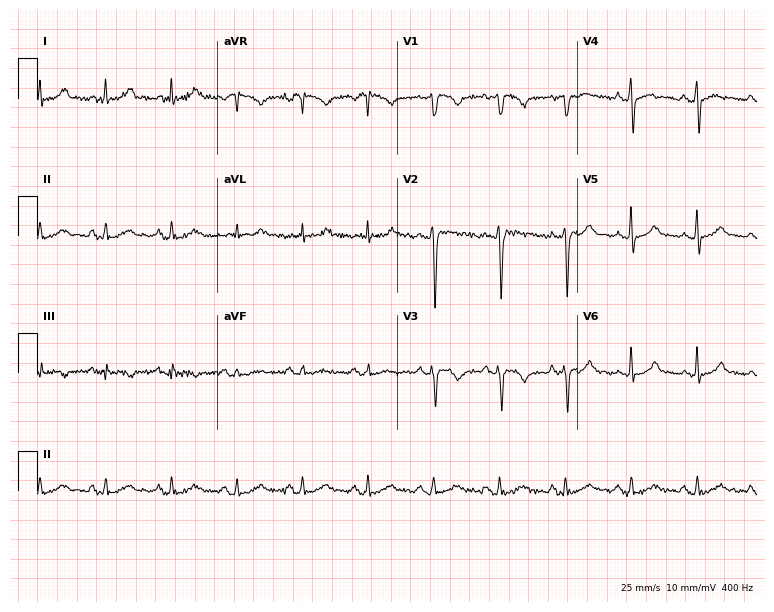
Resting 12-lead electrocardiogram (7.3-second recording at 400 Hz). Patient: a 68-year-old male. None of these six findings is recorded: first-degree AV block, right bundle branch block, left bundle branch block, sinus bradycardia, atrial fibrillation, sinus tachycardia.